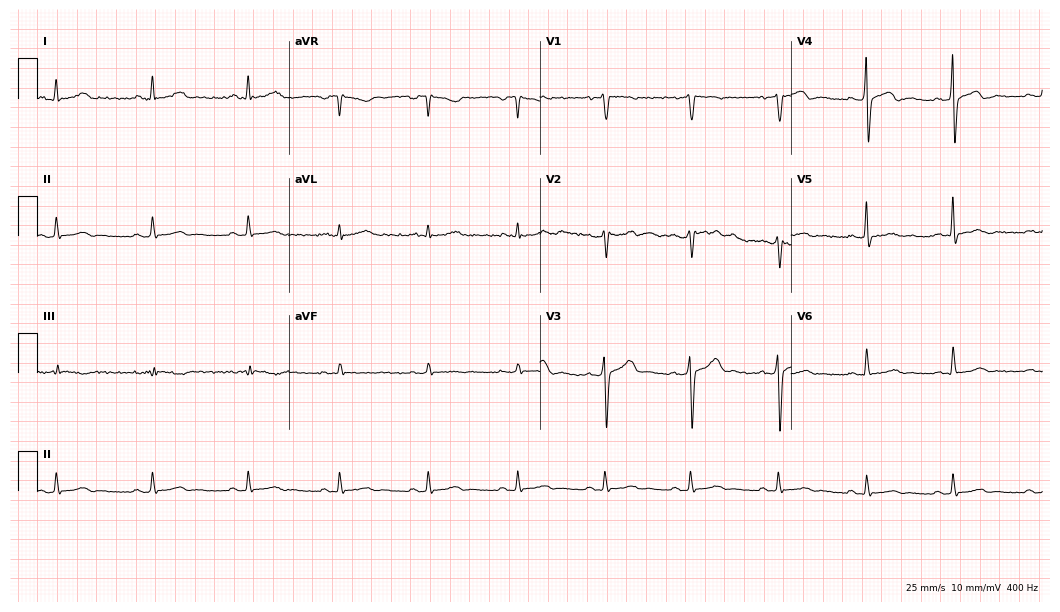
Resting 12-lead electrocardiogram (10.2-second recording at 400 Hz). Patient: a male, 41 years old. None of these six findings is recorded: first-degree AV block, right bundle branch block (RBBB), left bundle branch block (LBBB), sinus bradycardia, atrial fibrillation (AF), sinus tachycardia. Findings outside these six are not listed.